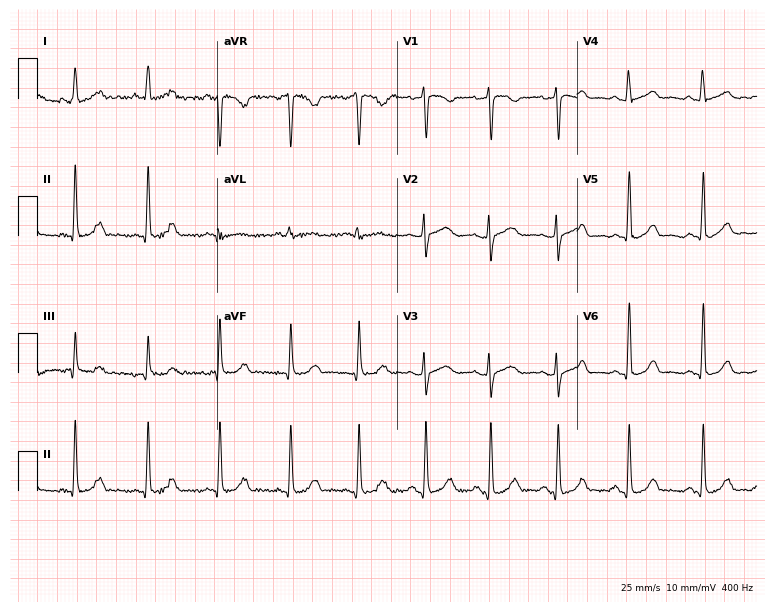
ECG (7.3-second recording at 400 Hz) — a female, 46 years old. Screened for six findings — first-degree AV block, right bundle branch block (RBBB), left bundle branch block (LBBB), sinus bradycardia, atrial fibrillation (AF), sinus tachycardia — none is recorded. Only these six findings were labelled.